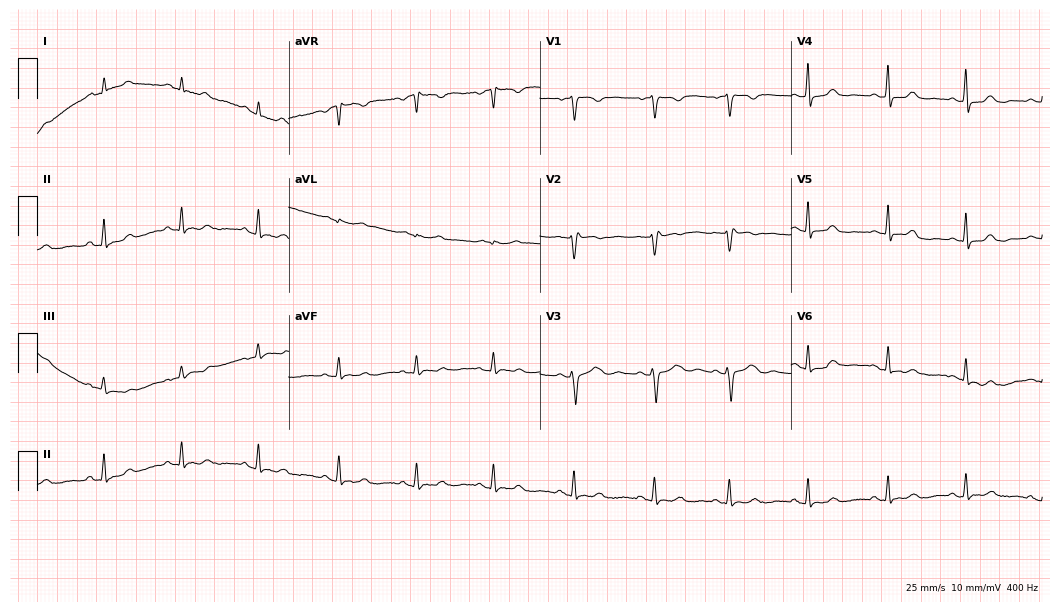
Standard 12-lead ECG recorded from a 21-year-old woman (10.2-second recording at 400 Hz). Read as a normal ECG.